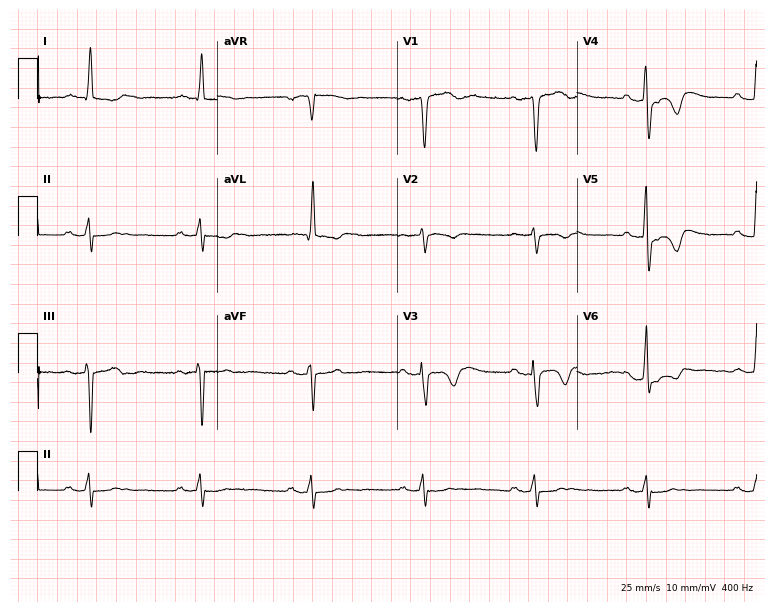
Standard 12-lead ECG recorded from an 83-year-old male. The tracing shows first-degree AV block.